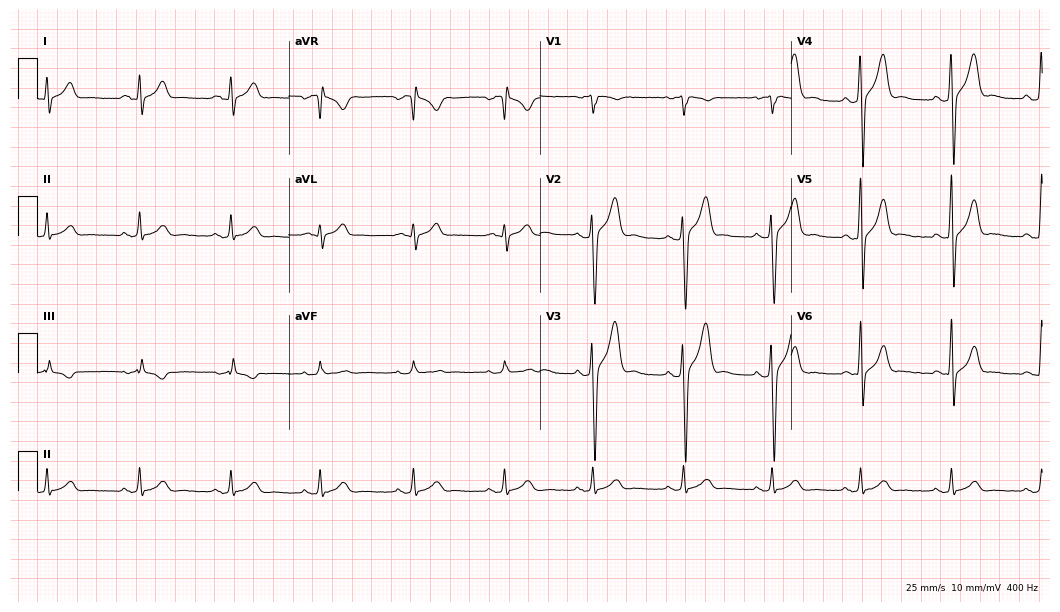
12-lead ECG (10.2-second recording at 400 Hz) from a 29-year-old male. Screened for six findings — first-degree AV block, right bundle branch block, left bundle branch block, sinus bradycardia, atrial fibrillation, sinus tachycardia — none is recorded. Only these six findings were labelled.